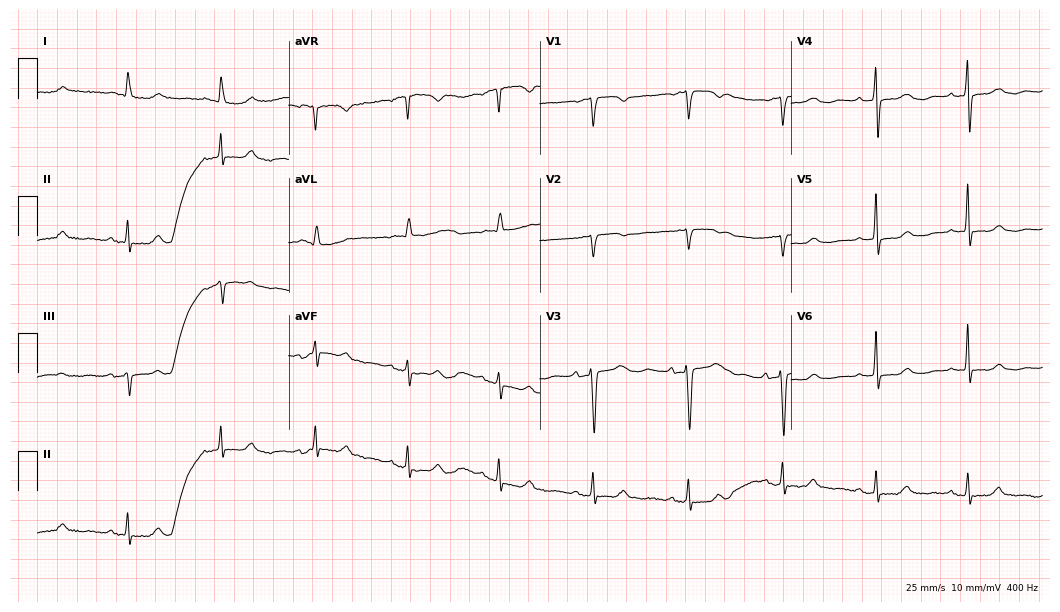
12-lead ECG from a female patient, 83 years old. No first-degree AV block, right bundle branch block (RBBB), left bundle branch block (LBBB), sinus bradycardia, atrial fibrillation (AF) or sinus tachycardia recorded for this tracing. Other findings, if any, are not listed.